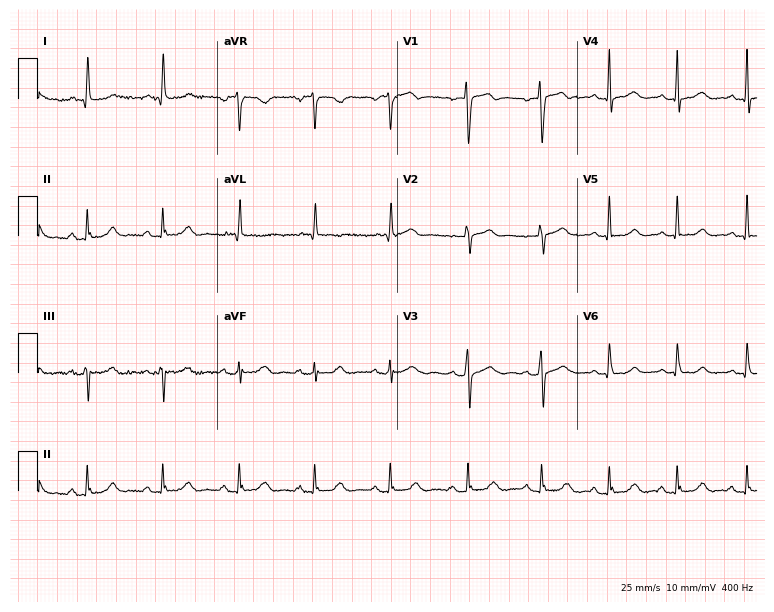
ECG — a 58-year-old woman. Labelled as a normal ECG.